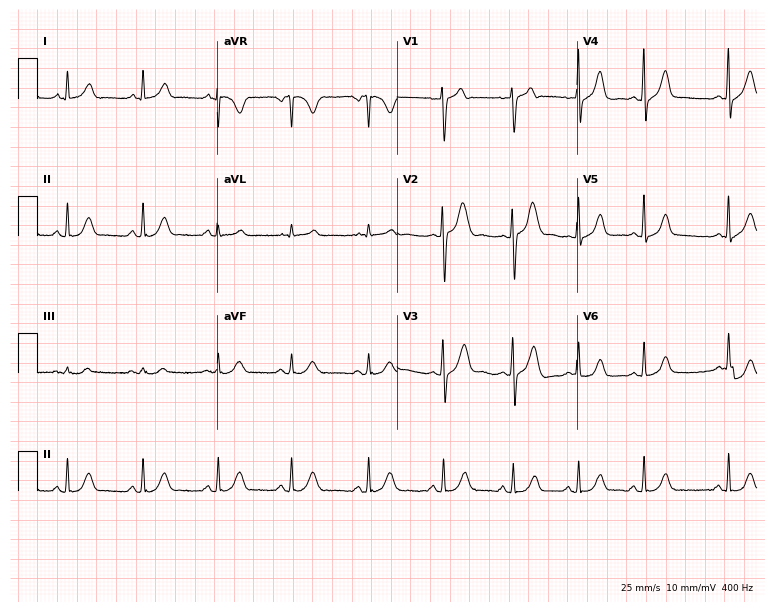
12-lead ECG from a 39-year-old female patient. Labelled as a normal ECG.